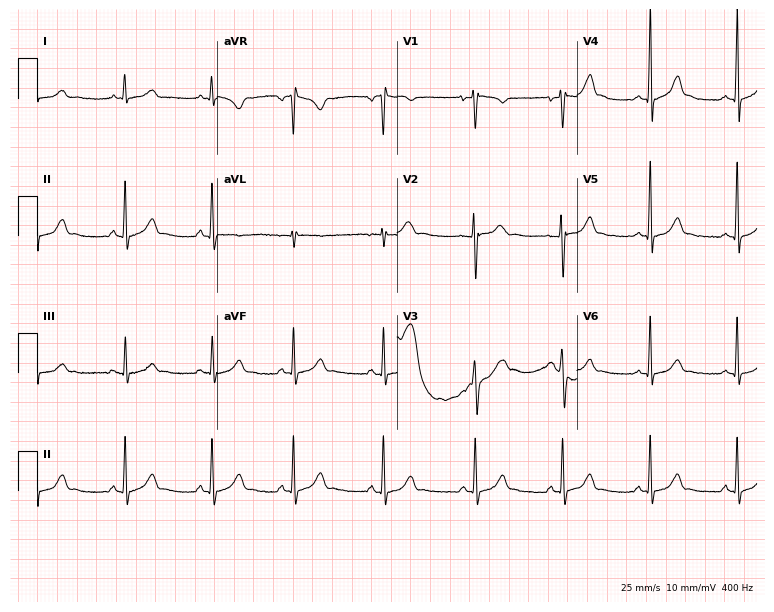
12-lead ECG from a 17-year-old female. Recorded interpretation: within normal limits.